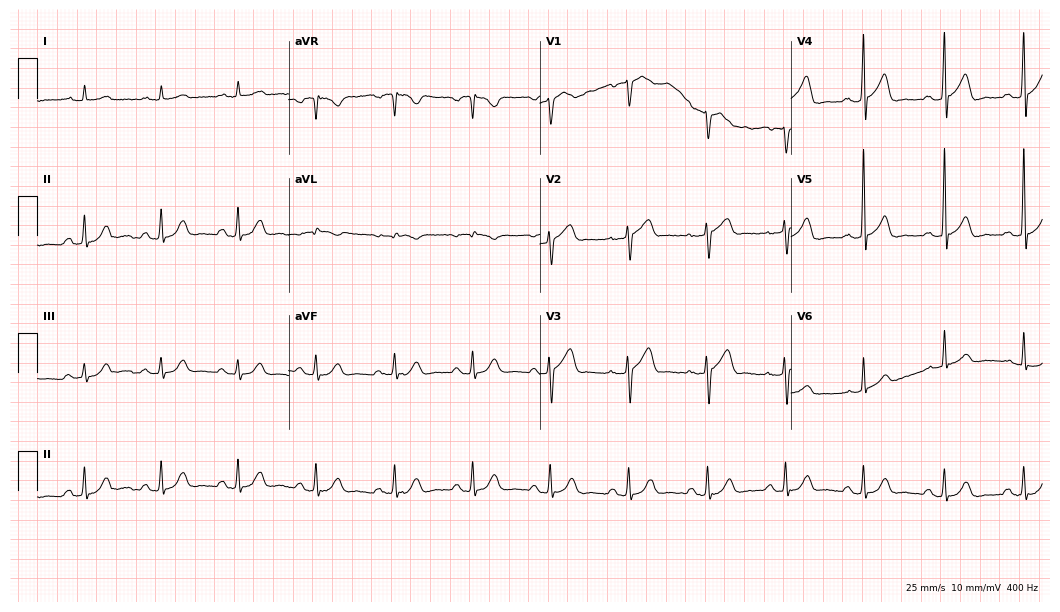
Electrocardiogram (10.2-second recording at 400 Hz), a 66-year-old male patient. Overall reading on record: normal ECG.